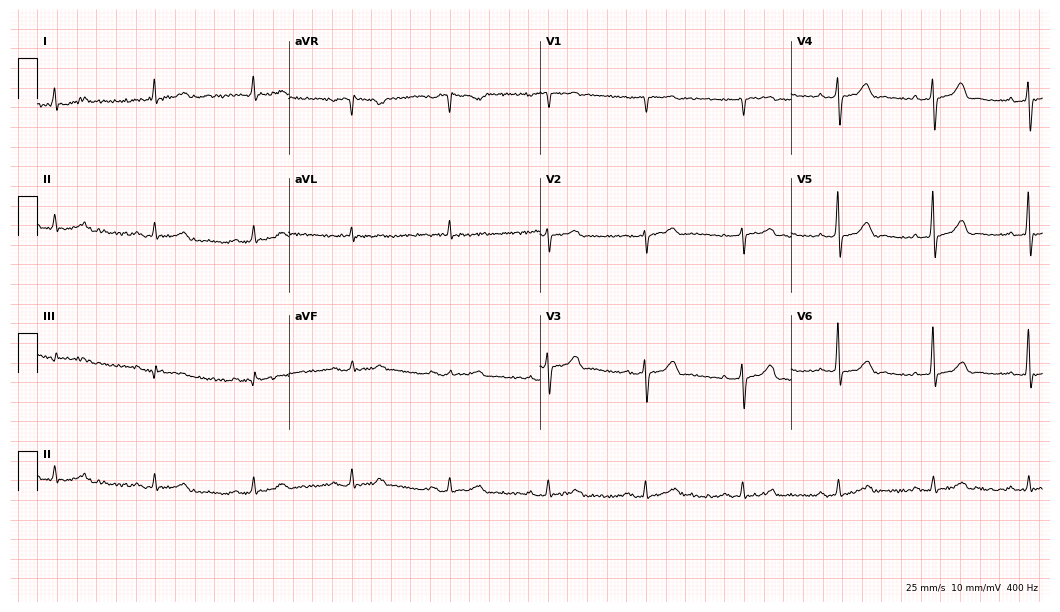
12-lead ECG from an 80-year-old male patient. Labelled as a normal ECG.